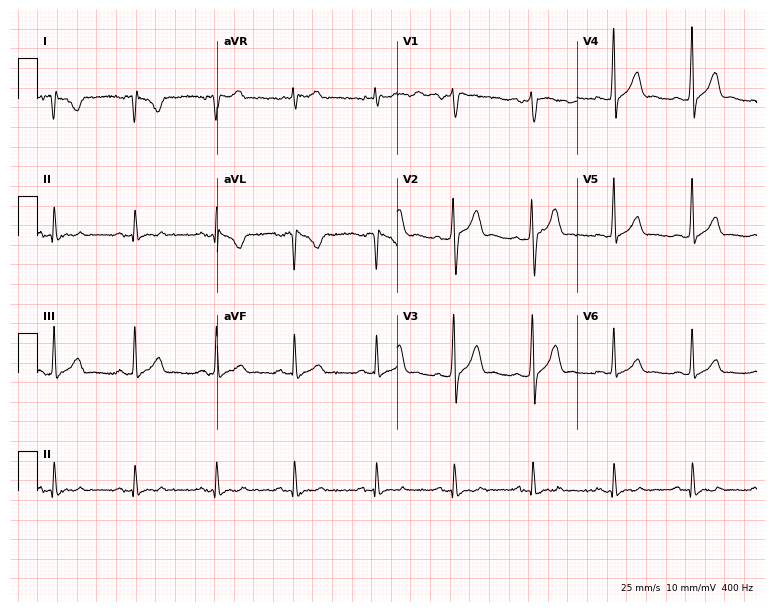
12-lead ECG (7.3-second recording at 400 Hz) from a man, 46 years old. Screened for six findings — first-degree AV block, right bundle branch block, left bundle branch block, sinus bradycardia, atrial fibrillation, sinus tachycardia — none is recorded.